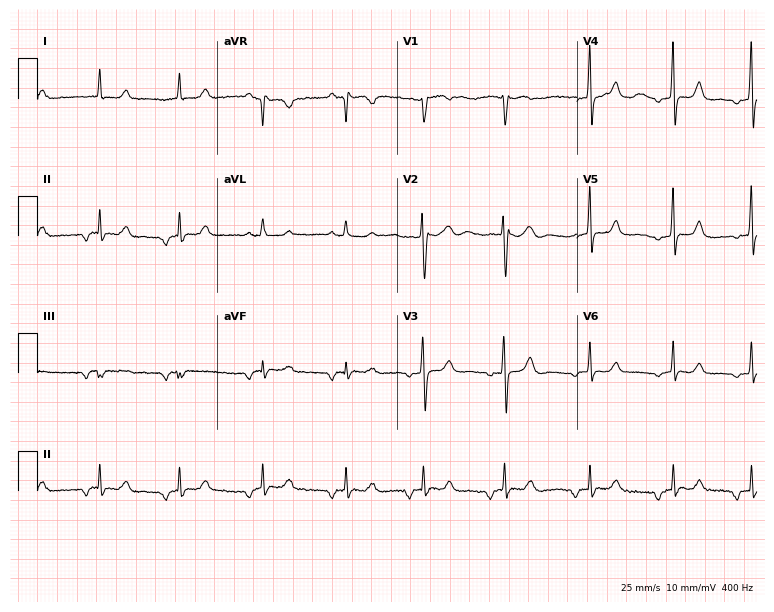
Resting 12-lead electrocardiogram (7.3-second recording at 400 Hz). Patient: a 42-year-old woman. None of these six findings is recorded: first-degree AV block, right bundle branch block, left bundle branch block, sinus bradycardia, atrial fibrillation, sinus tachycardia.